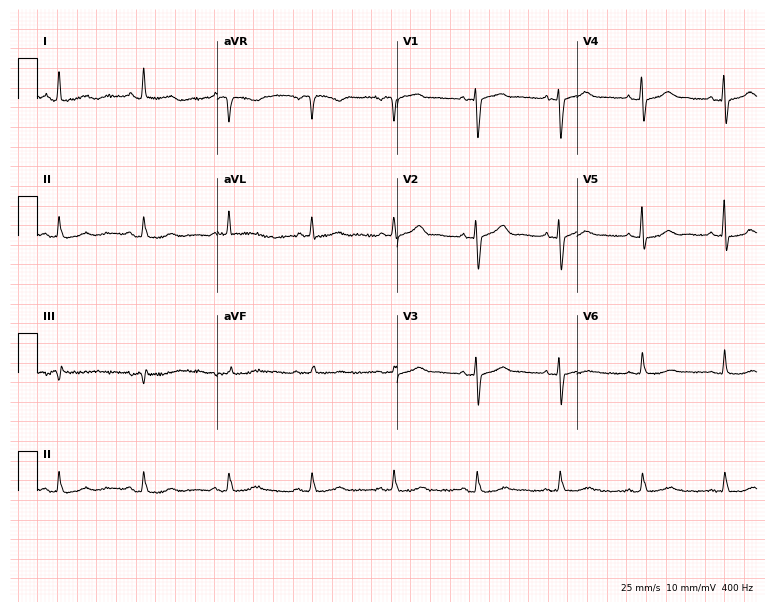
Standard 12-lead ECG recorded from a female, 49 years old. Read as a normal ECG.